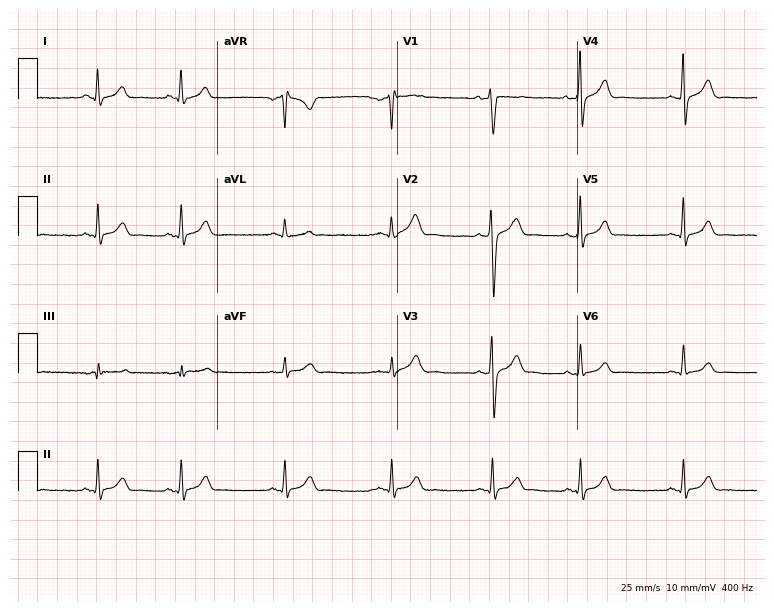
Standard 12-lead ECG recorded from a male, 17 years old (7.3-second recording at 400 Hz). Read as a normal ECG.